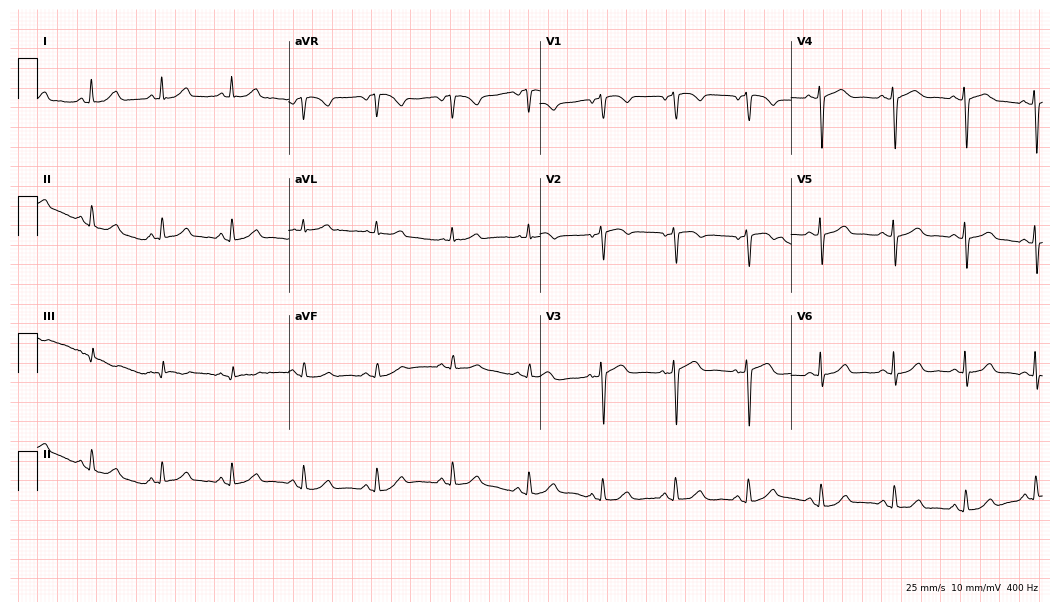
12-lead ECG from a 55-year-old female. No first-degree AV block, right bundle branch block (RBBB), left bundle branch block (LBBB), sinus bradycardia, atrial fibrillation (AF) or sinus tachycardia recorded for this tracing. Only these six findings were labelled.